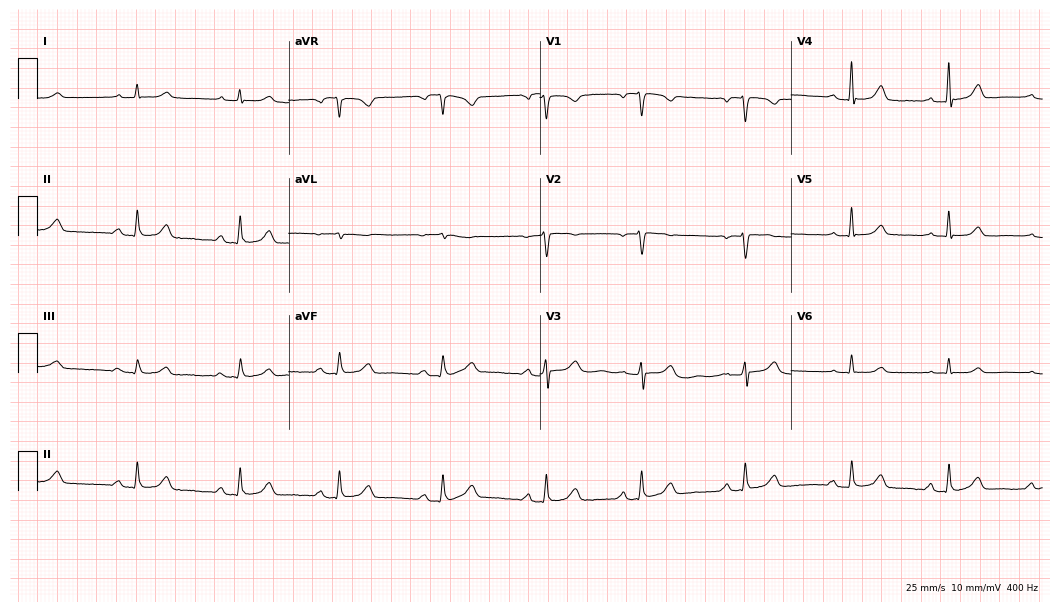
ECG (10.2-second recording at 400 Hz) — a 51-year-old female patient. Screened for six findings — first-degree AV block, right bundle branch block, left bundle branch block, sinus bradycardia, atrial fibrillation, sinus tachycardia — none is recorded. Only these six findings were labelled.